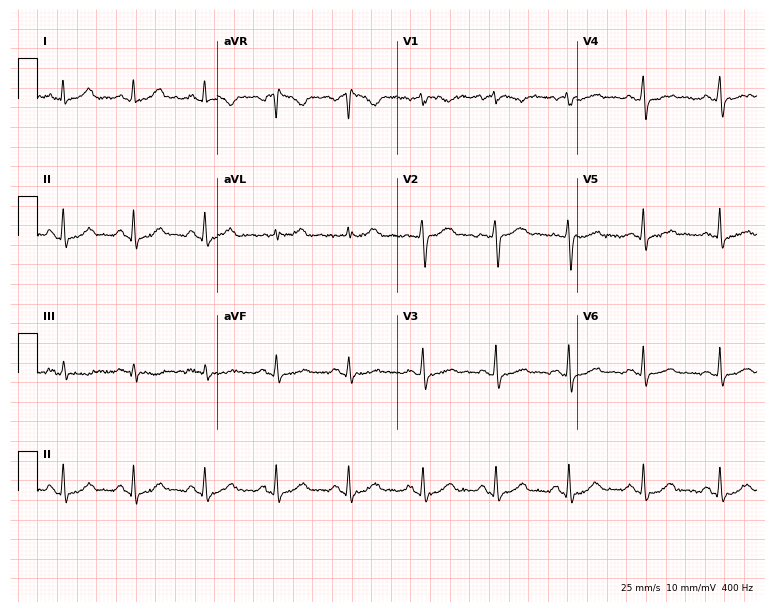
12-lead ECG (7.3-second recording at 400 Hz) from a woman, 51 years old. Labelled as a normal ECG.